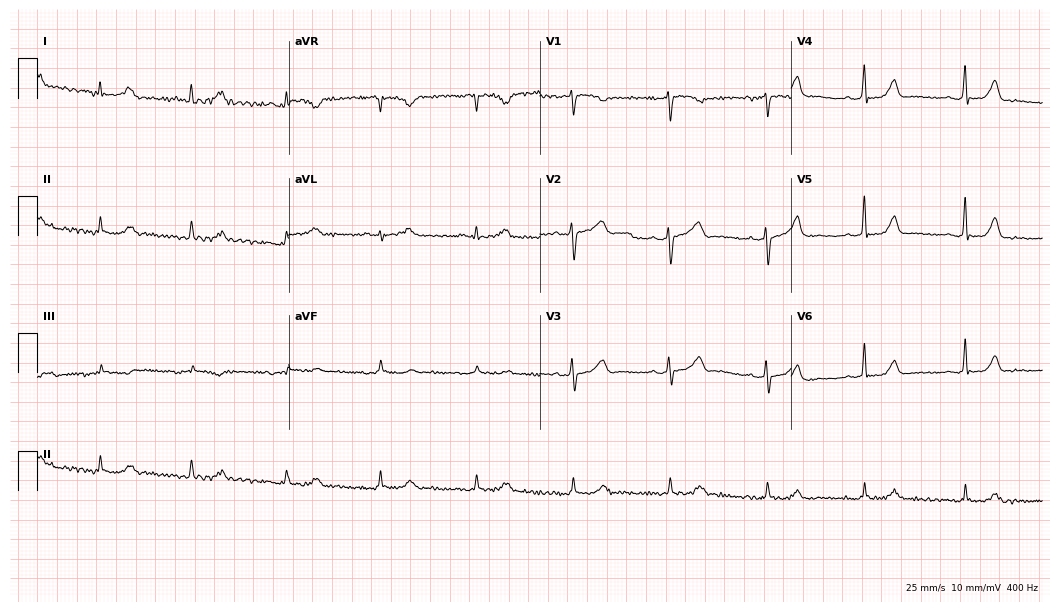
Standard 12-lead ECG recorded from a 61-year-old female. Read as a normal ECG.